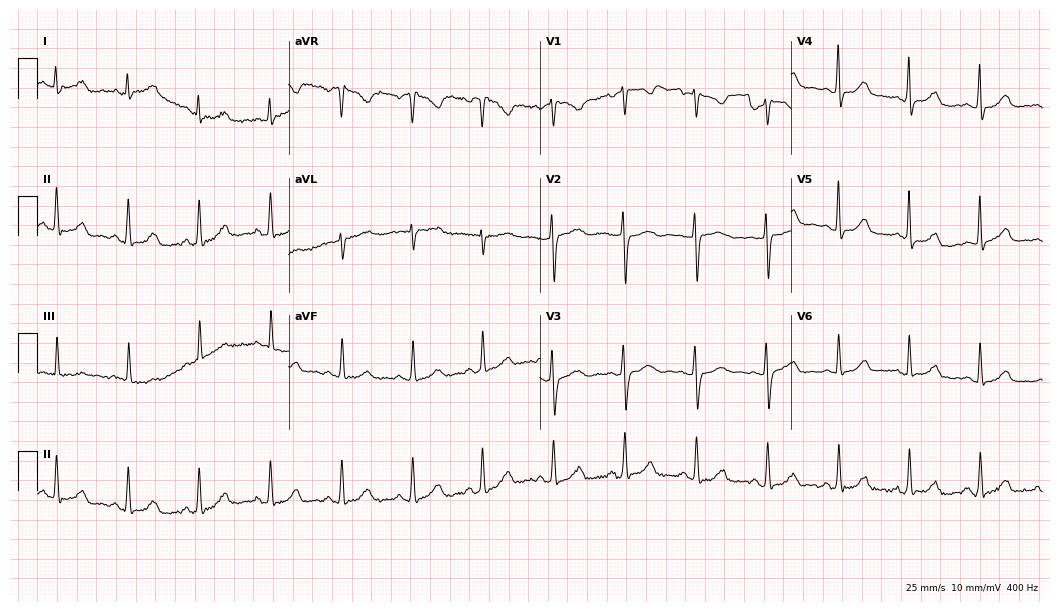
Resting 12-lead electrocardiogram. Patient: a 38-year-old female. Read as a normal ECG.